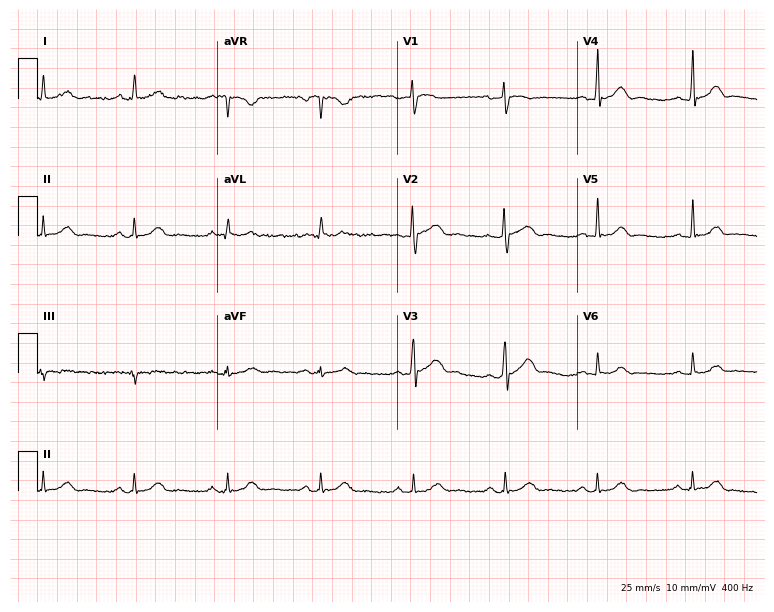
Standard 12-lead ECG recorded from a male patient, 53 years old (7.3-second recording at 400 Hz). Read as a normal ECG.